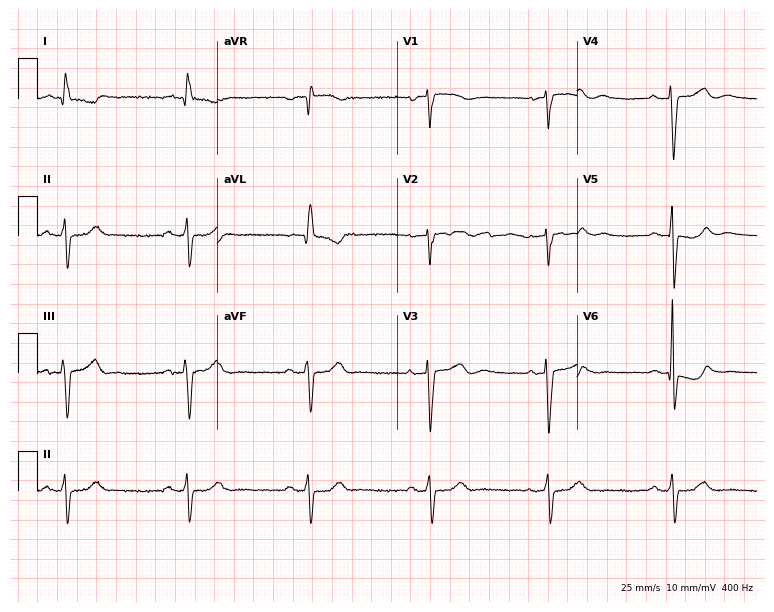
Standard 12-lead ECG recorded from an 84-year-old female. The tracing shows sinus bradycardia (a sinus rate of 50 beats per minute or less).